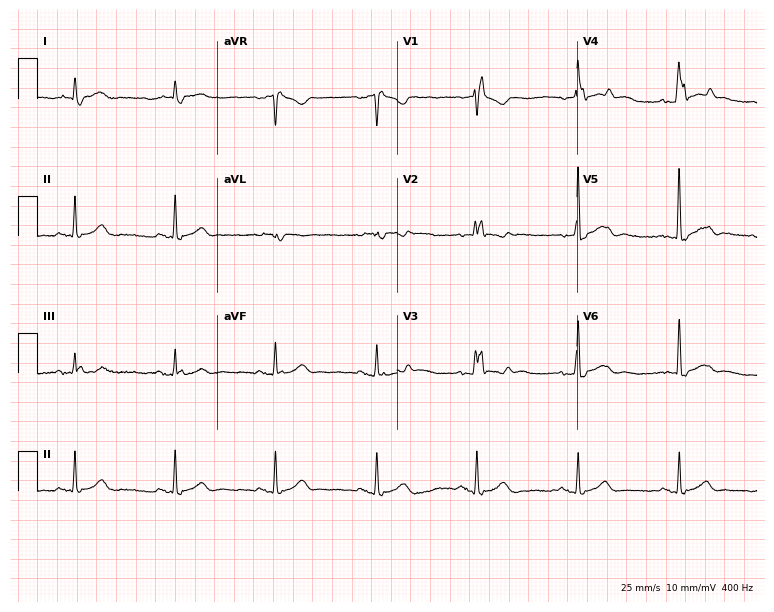
Electrocardiogram, a male, 82 years old. Interpretation includes right bundle branch block (RBBB).